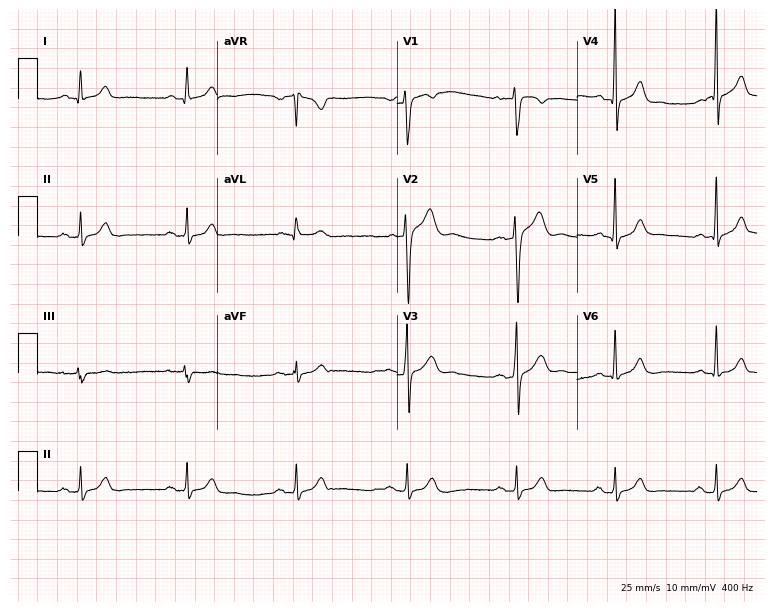
Electrocardiogram, a 26-year-old male patient. Overall reading on record: normal ECG.